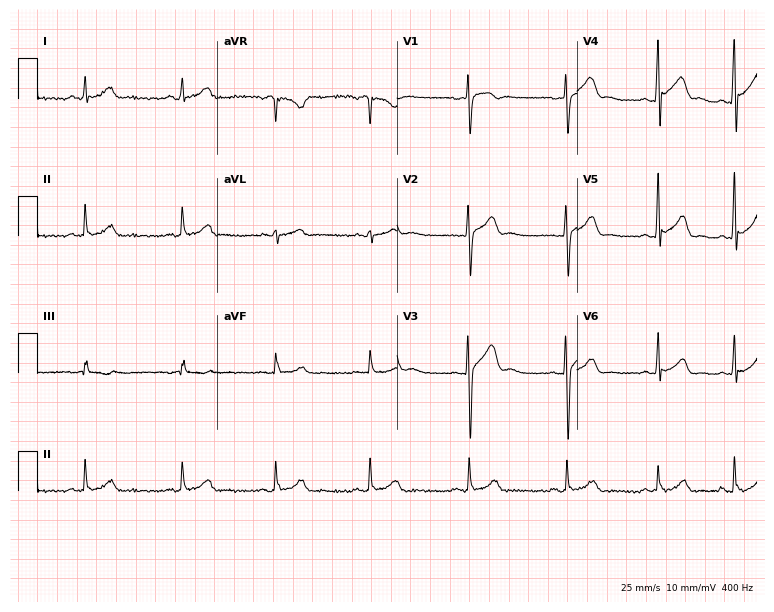
12-lead ECG from a 22-year-old man. Recorded interpretation: within normal limits.